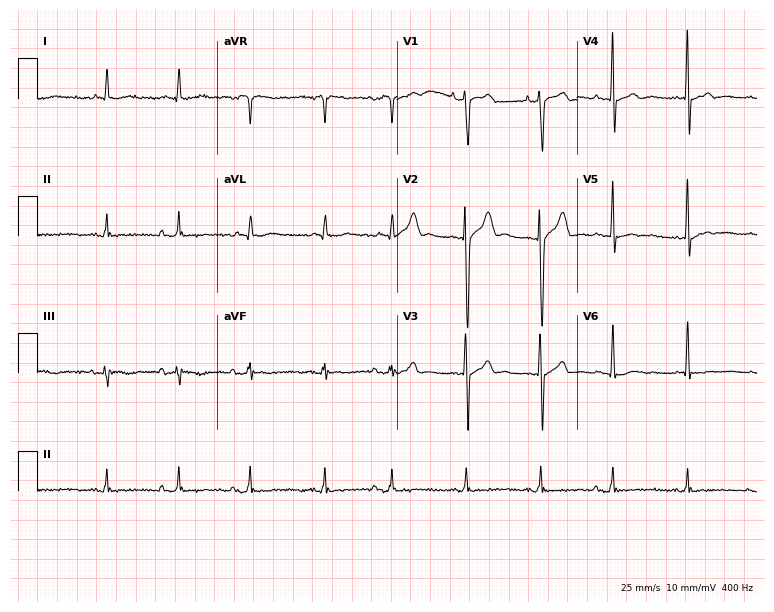
12-lead ECG from a man, 79 years old. No first-degree AV block, right bundle branch block, left bundle branch block, sinus bradycardia, atrial fibrillation or sinus tachycardia recorded for this tracing. Only these six findings were labelled.